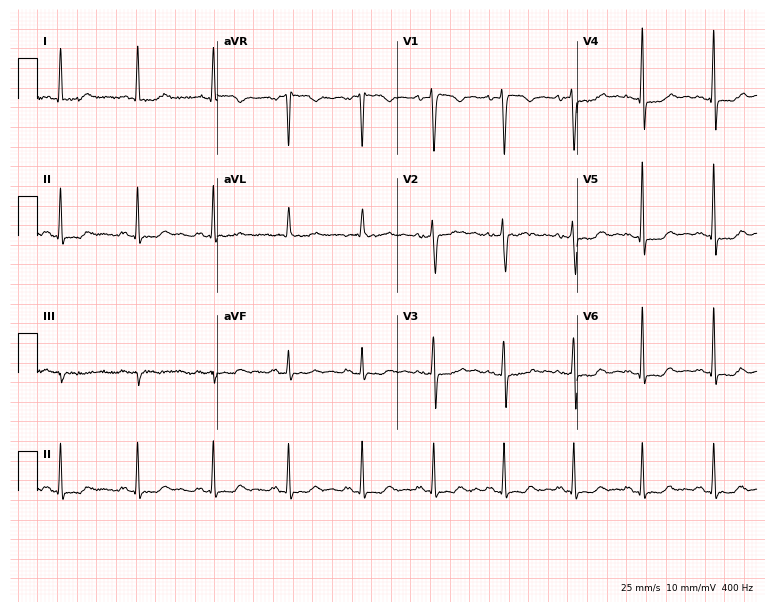
Electrocardiogram (7.3-second recording at 400 Hz), a female patient, 36 years old. Of the six screened findings (first-degree AV block, right bundle branch block, left bundle branch block, sinus bradycardia, atrial fibrillation, sinus tachycardia), none is recorded.